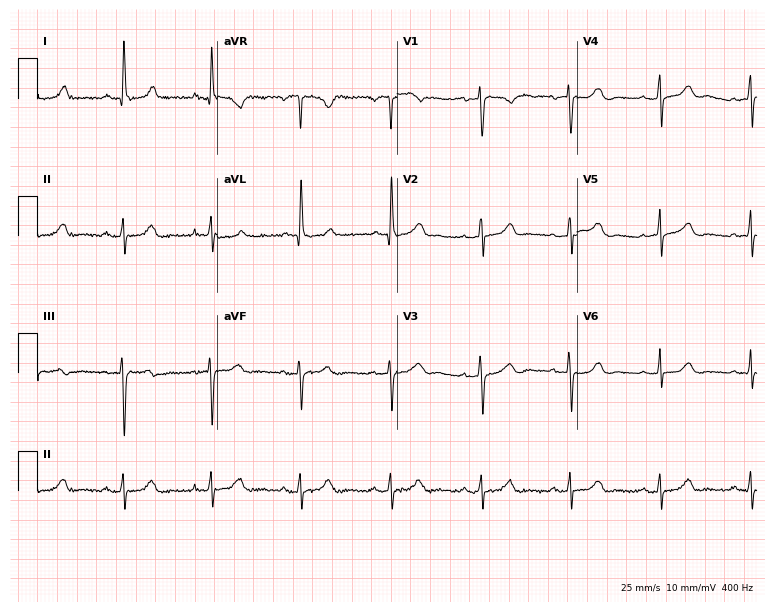
12-lead ECG from a 70-year-old male. Labelled as a normal ECG.